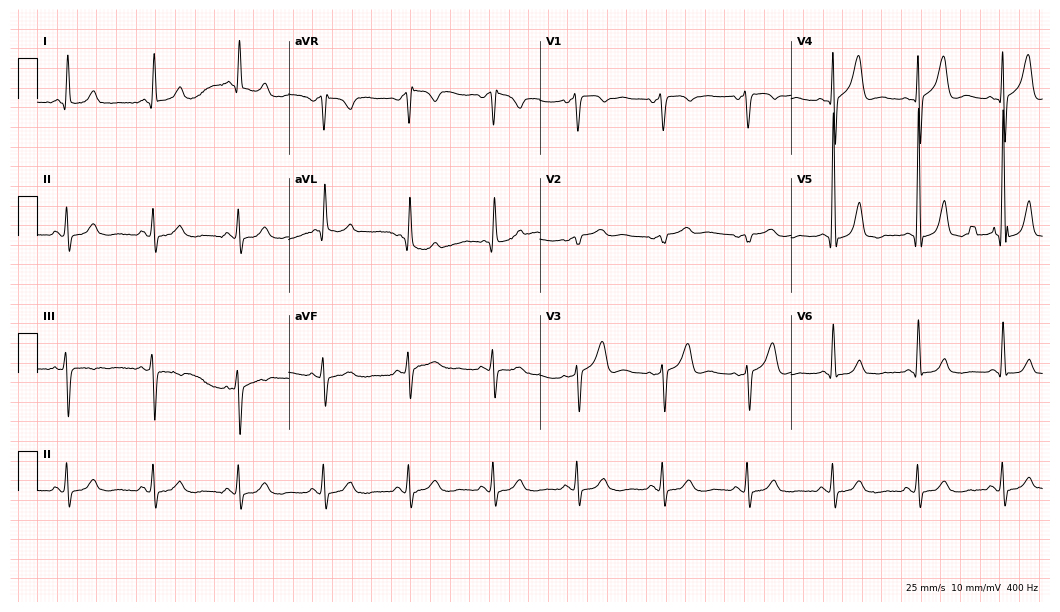
Electrocardiogram (10.2-second recording at 400 Hz), a 65-year-old male. Of the six screened findings (first-degree AV block, right bundle branch block, left bundle branch block, sinus bradycardia, atrial fibrillation, sinus tachycardia), none is recorded. Only these six findings were labelled.